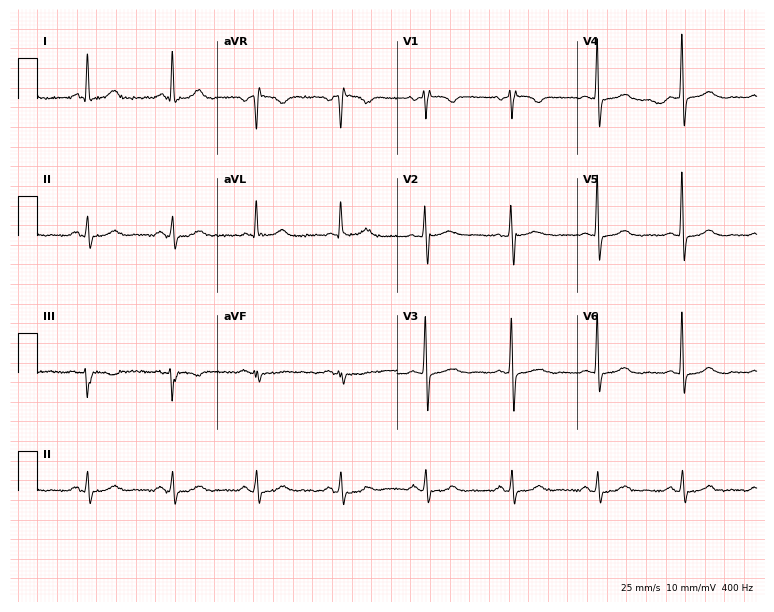
Resting 12-lead electrocardiogram (7.3-second recording at 400 Hz). Patient: a female, 76 years old. None of these six findings is recorded: first-degree AV block, right bundle branch block, left bundle branch block, sinus bradycardia, atrial fibrillation, sinus tachycardia. Only these six findings were labelled.